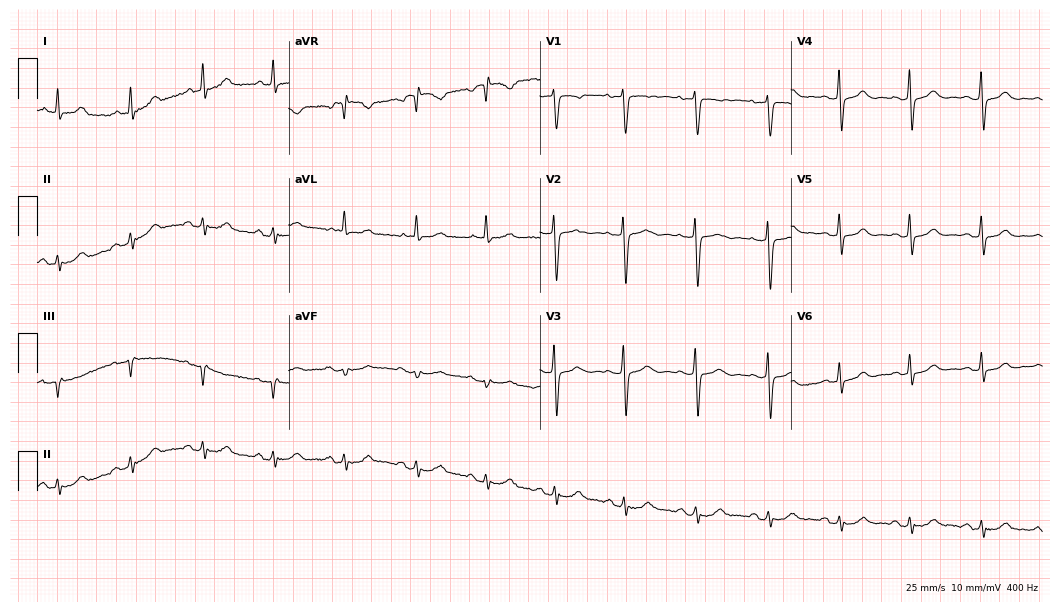
12-lead ECG (10.2-second recording at 400 Hz) from a female, 71 years old. Labelled as a normal ECG.